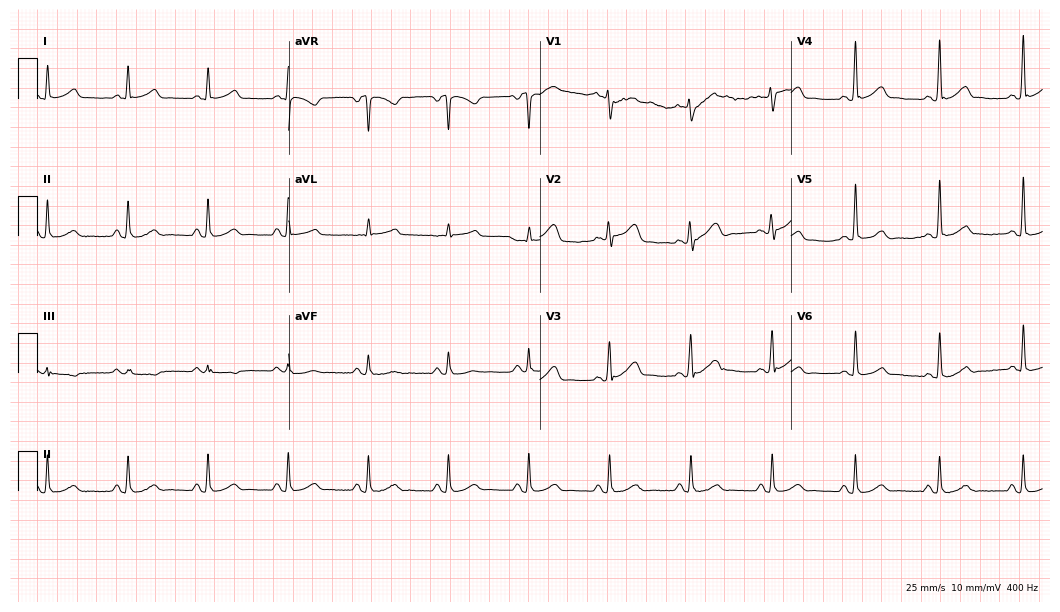
Electrocardiogram, a 51-year-old man. Overall reading on record: normal ECG.